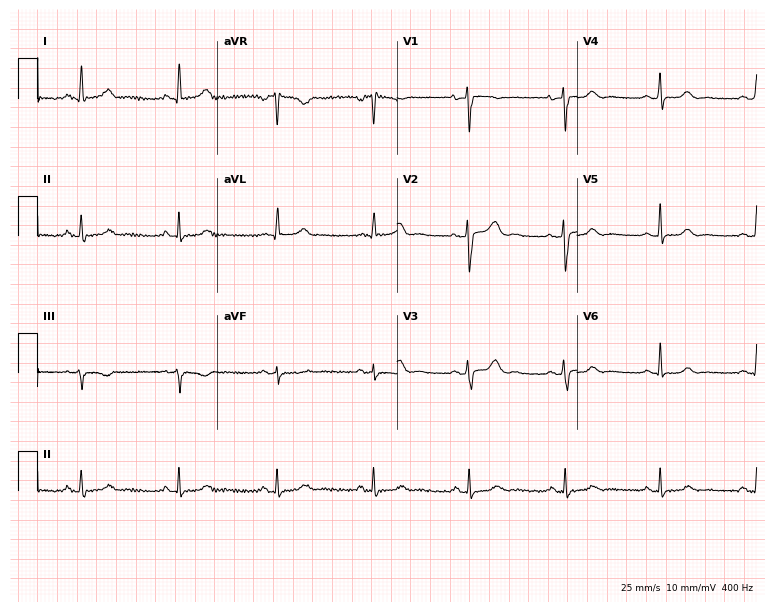
12-lead ECG from a 49-year-old woman. Recorded interpretation: within normal limits.